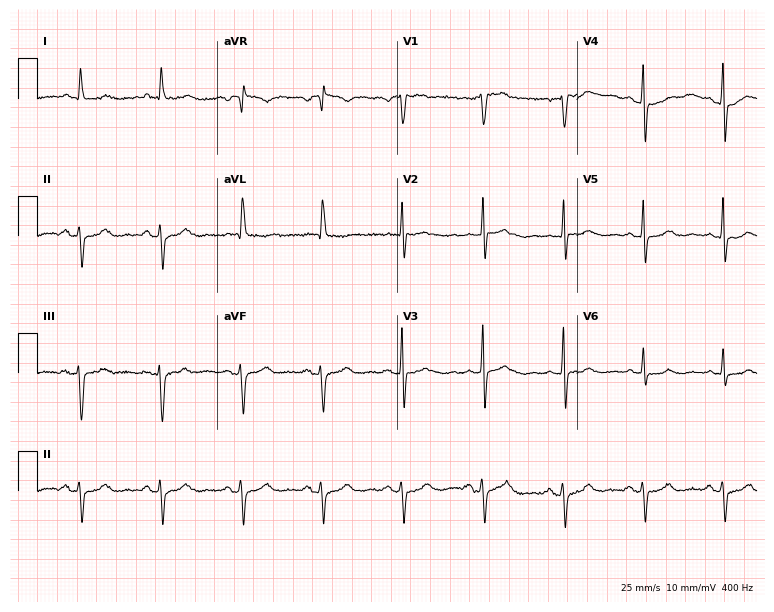
Electrocardiogram (7.3-second recording at 400 Hz), an 81-year-old woman. Of the six screened findings (first-degree AV block, right bundle branch block (RBBB), left bundle branch block (LBBB), sinus bradycardia, atrial fibrillation (AF), sinus tachycardia), none is recorded. Findings outside these six are not listed.